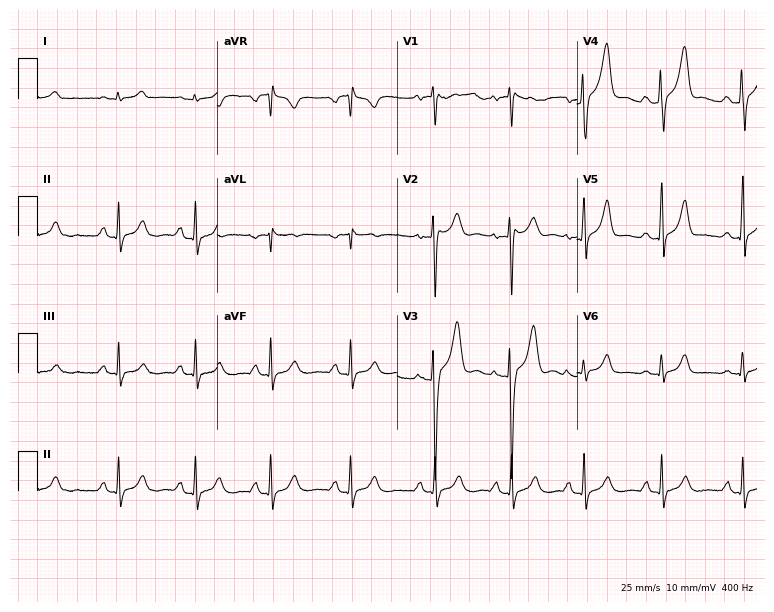
ECG — a 23-year-old male patient. Screened for six findings — first-degree AV block, right bundle branch block (RBBB), left bundle branch block (LBBB), sinus bradycardia, atrial fibrillation (AF), sinus tachycardia — none is recorded. Other findings, if any, are not listed.